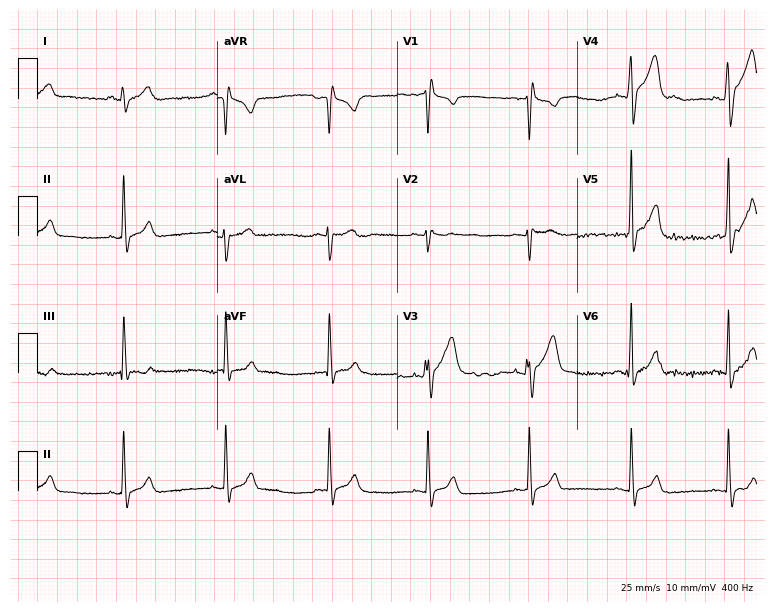
12-lead ECG (7.3-second recording at 400 Hz) from a 20-year-old man. Screened for six findings — first-degree AV block, right bundle branch block, left bundle branch block, sinus bradycardia, atrial fibrillation, sinus tachycardia — none is recorded. Other findings, if any, are not listed.